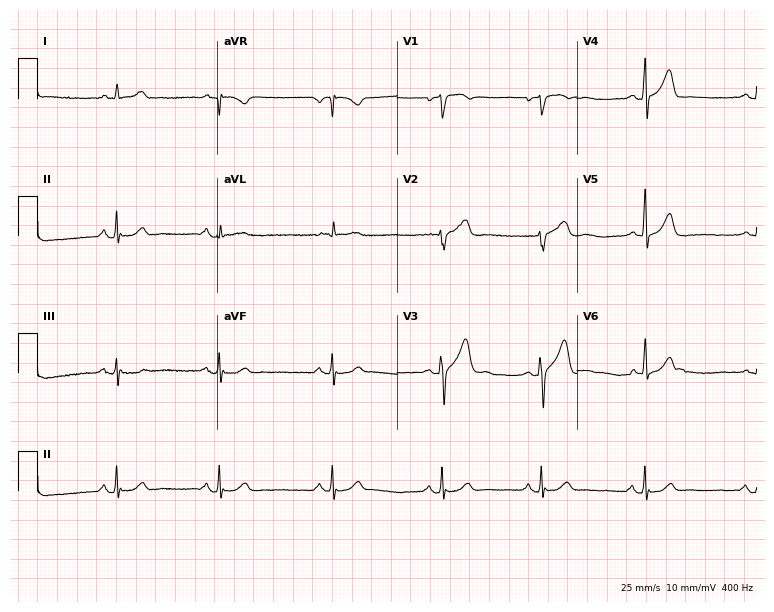
ECG (7.3-second recording at 400 Hz) — a 64-year-old man. Labelled as a normal ECG.